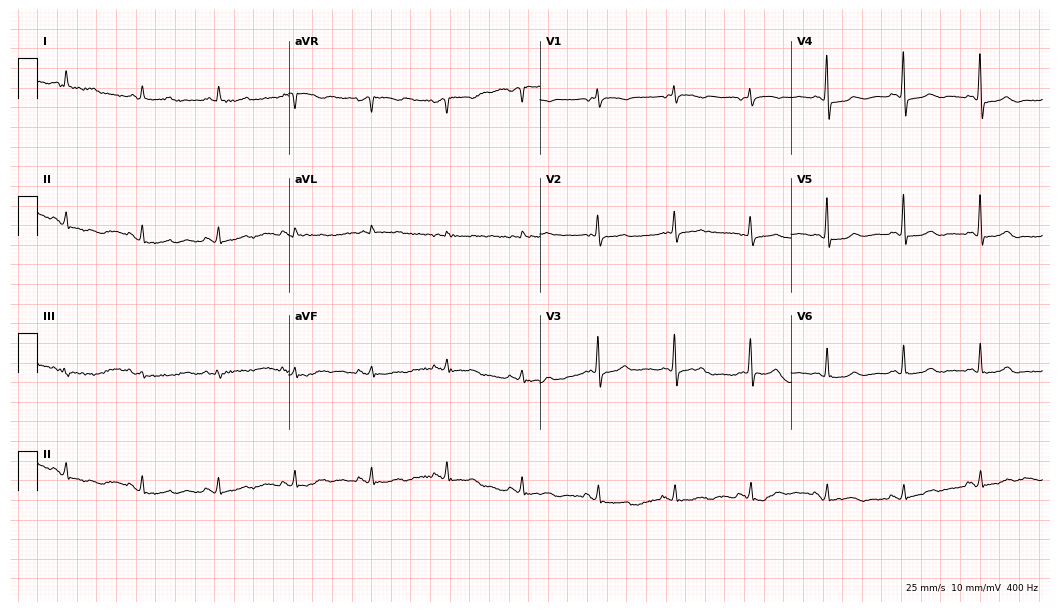
Resting 12-lead electrocardiogram. Patient: a female, 82 years old. None of these six findings is recorded: first-degree AV block, right bundle branch block, left bundle branch block, sinus bradycardia, atrial fibrillation, sinus tachycardia. Other findings, if any, are not listed.